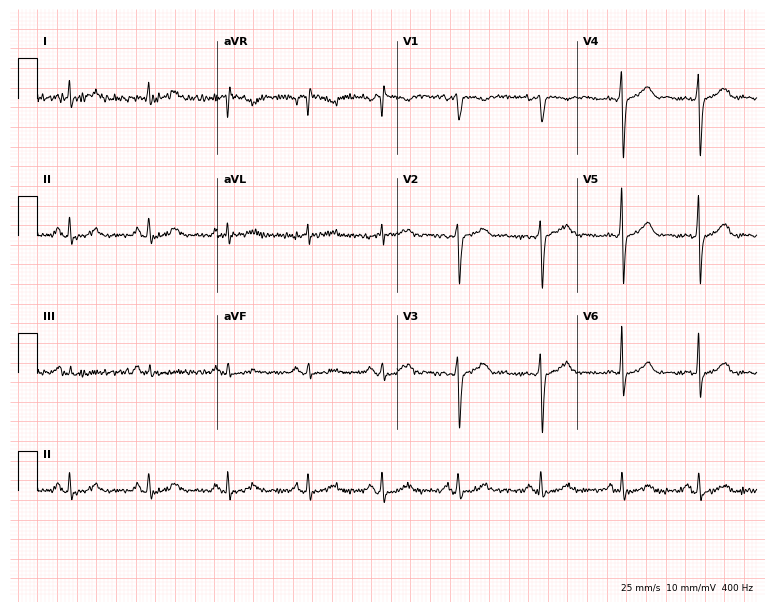
Resting 12-lead electrocardiogram. Patient: a woman, 31 years old. None of these six findings is recorded: first-degree AV block, right bundle branch block, left bundle branch block, sinus bradycardia, atrial fibrillation, sinus tachycardia. Other findings, if any, are not listed.